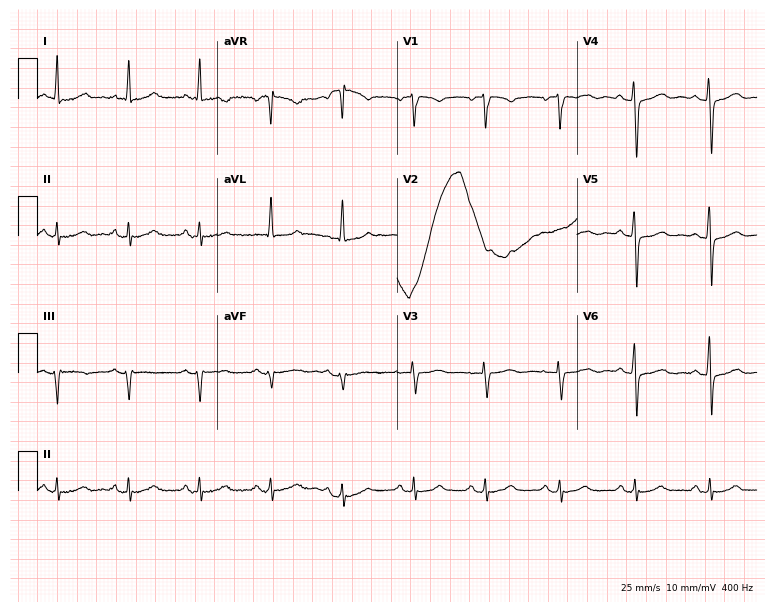
Standard 12-lead ECG recorded from a female, 58 years old. None of these six findings is recorded: first-degree AV block, right bundle branch block (RBBB), left bundle branch block (LBBB), sinus bradycardia, atrial fibrillation (AF), sinus tachycardia.